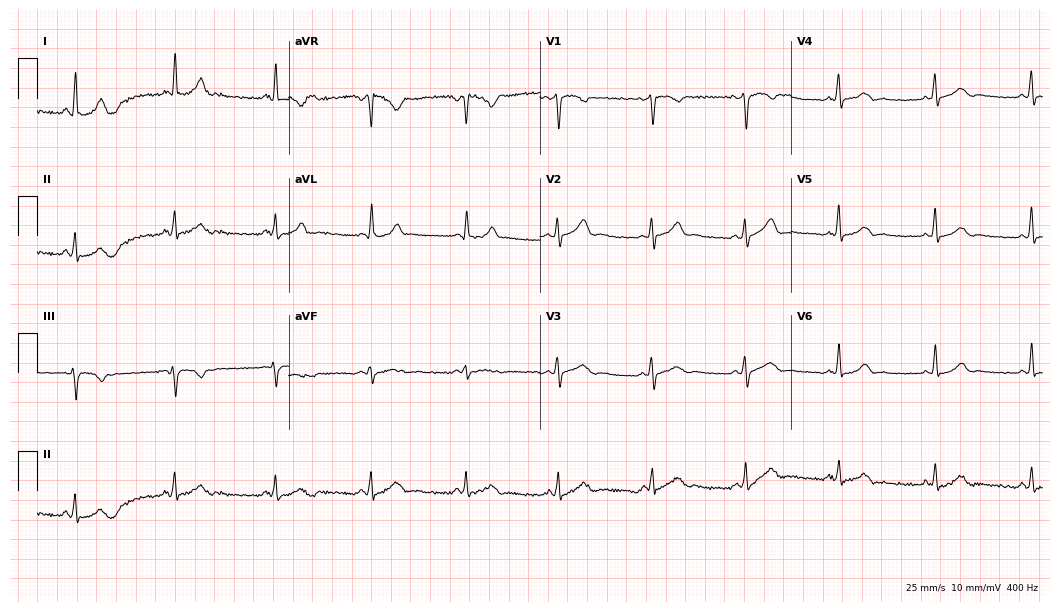
12-lead ECG from a female patient, 37 years old (10.2-second recording at 400 Hz). No first-degree AV block, right bundle branch block (RBBB), left bundle branch block (LBBB), sinus bradycardia, atrial fibrillation (AF) or sinus tachycardia recorded for this tracing. Other findings, if any, are not listed.